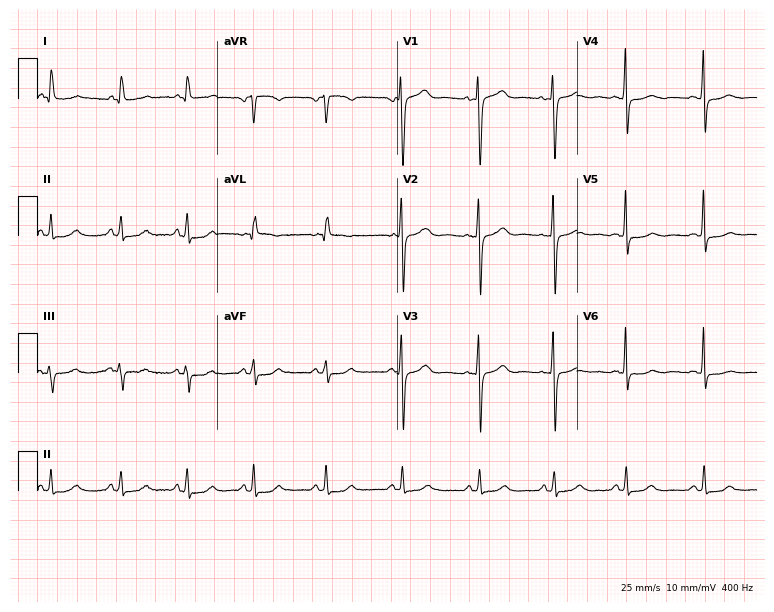
Resting 12-lead electrocardiogram (7.3-second recording at 400 Hz). Patient: a 44-year-old female. None of these six findings is recorded: first-degree AV block, right bundle branch block, left bundle branch block, sinus bradycardia, atrial fibrillation, sinus tachycardia. Only these six findings were labelled.